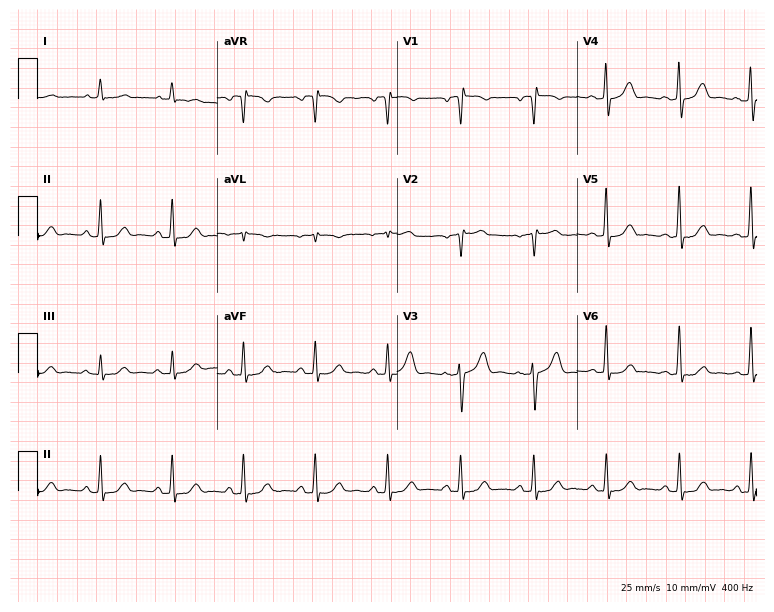
ECG — a male patient, 79 years old. Screened for six findings — first-degree AV block, right bundle branch block, left bundle branch block, sinus bradycardia, atrial fibrillation, sinus tachycardia — none is recorded.